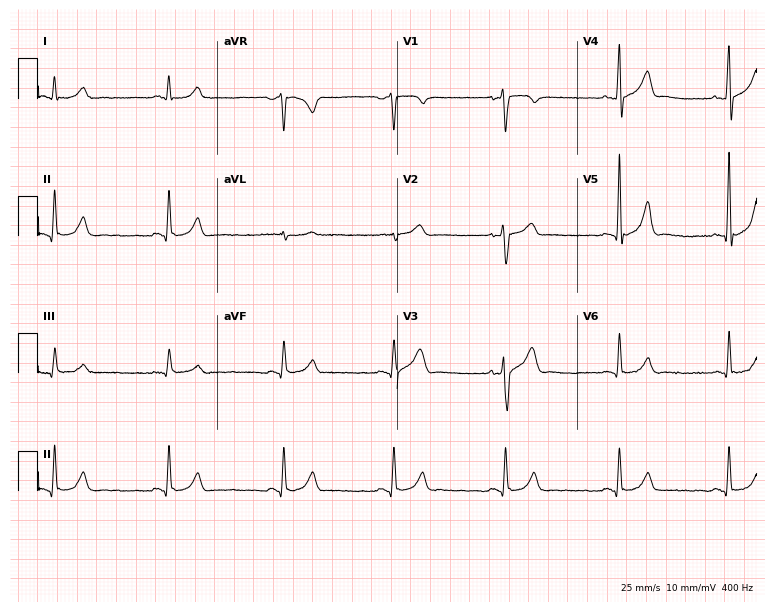
Resting 12-lead electrocardiogram. Patient: a 47-year-old male. None of these six findings is recorded: first-degree AV block, right bundle branch block, left bundle branch block, sinus bradycardia, atrial fibrillation, sinus tachycardia.